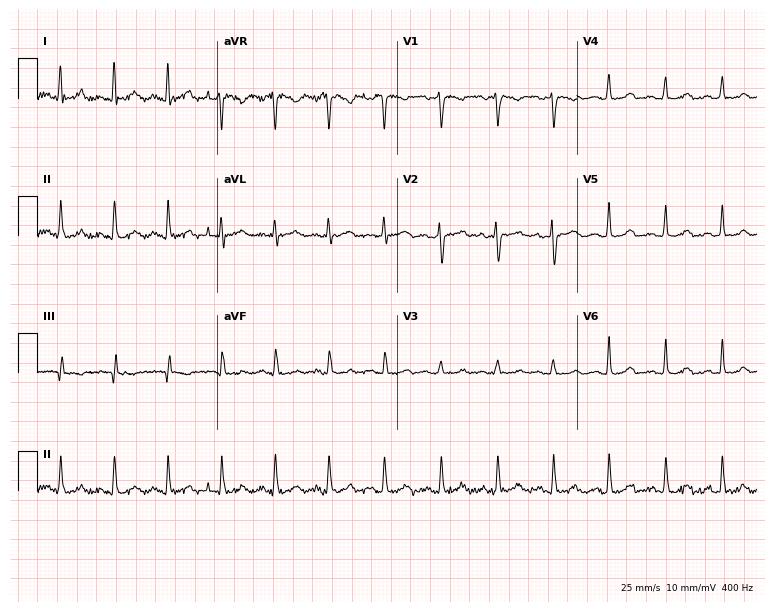
ECG — a 22-year-old female. Findings include sinus tachycardia (a sinus rate of 100 beats per minute or more).